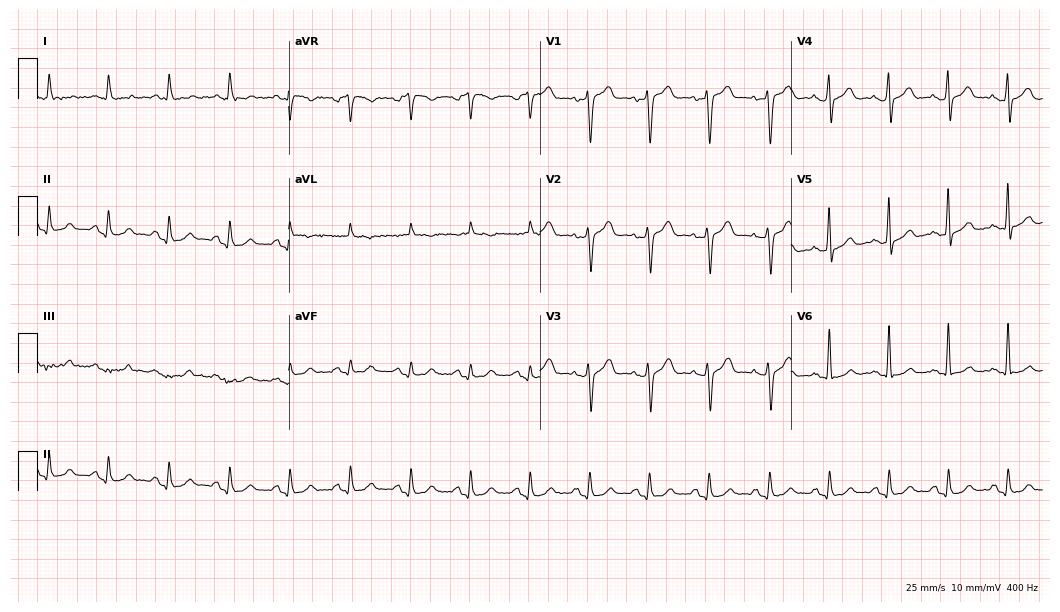
12-lead ECG from a 56-year-old male patient. Recorded interpretation: within normal limits.